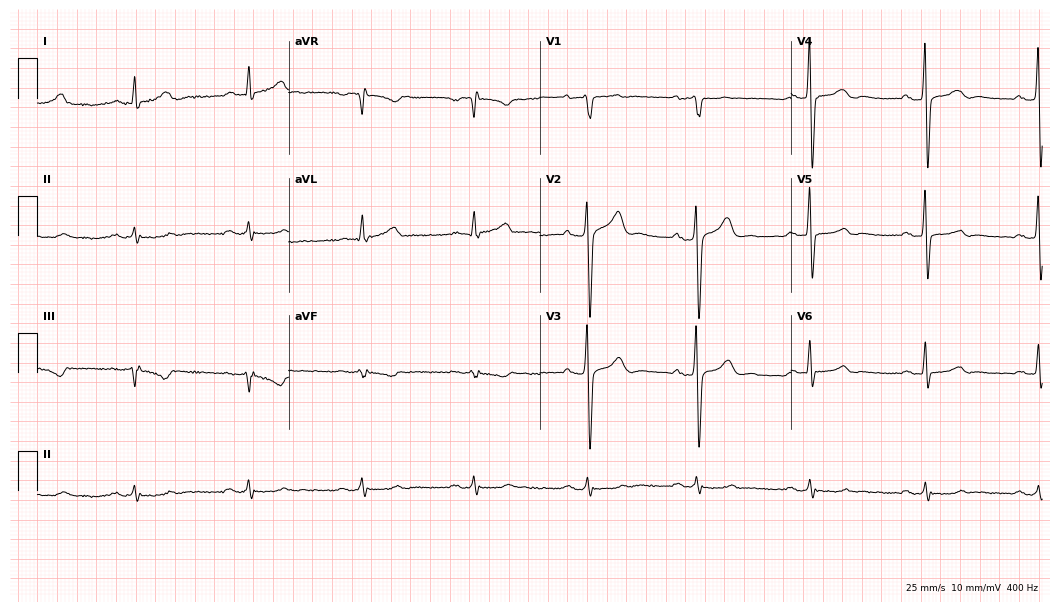
Resting 12-lead electrocardiogram (10.2-second recording at 400 Hz). Patient: a 60-year-old male. None of these six findings is recorded: first-degree AV block, right bundle branch block, left bundle branch block, sinus bradycardia, atrial fibrillation, sinus tachycardia.